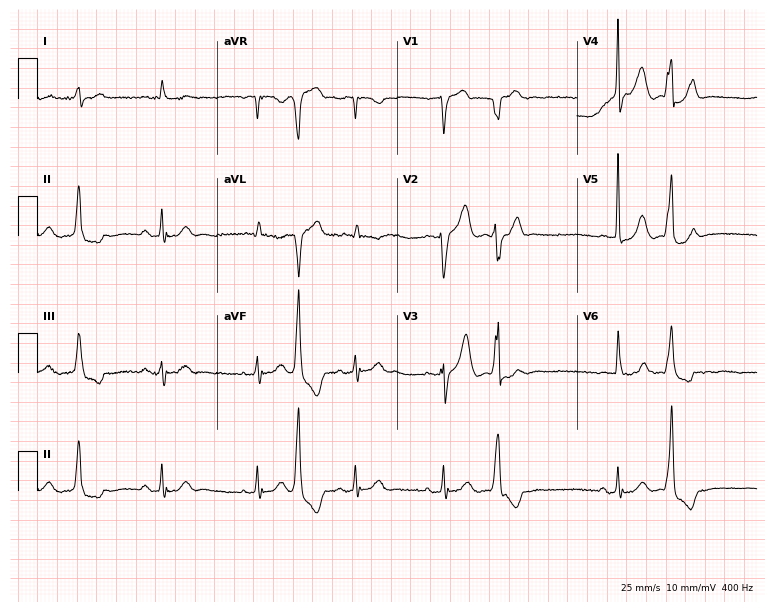
12-lead ECG from a 72-year-old male (7.3-second recording at 400 Hz). No first-degree AV block, right bundle branch block, left bundle branch block, sinus bradycardia, atrial fibrillation or sinus tachycardia recorded for this tracing. Findings outside these six are not listed.